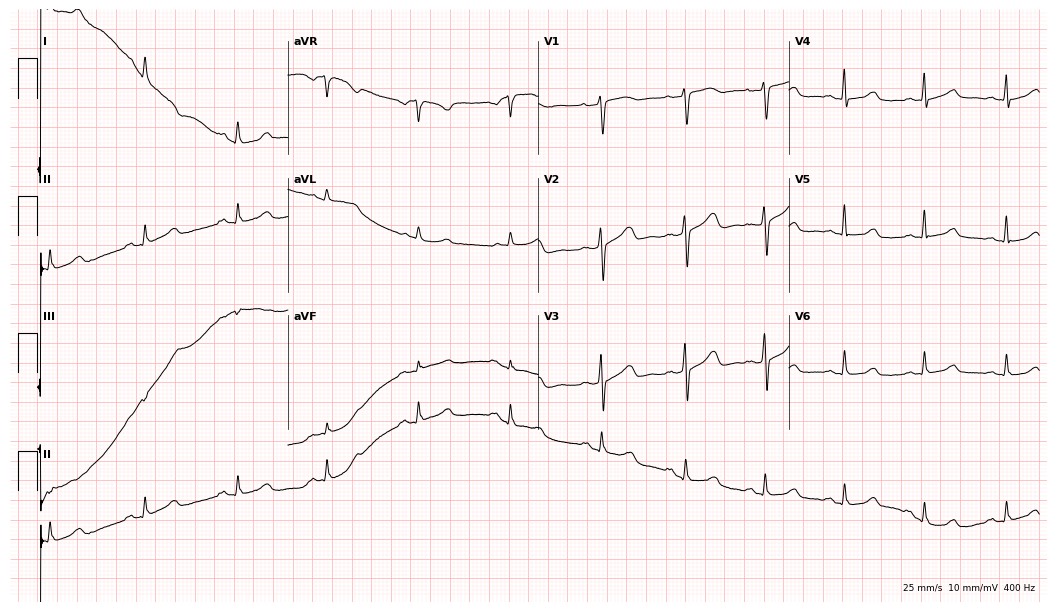
ECG (10.2-second recording at 400 Hz) — a female patient, 65 years old. Screened for six findings — first-degree AV block, right bundle branch block, left bundle branch block, sinus bradycardia, atrial fibrillation, sinus tachycardia — none is recorded.